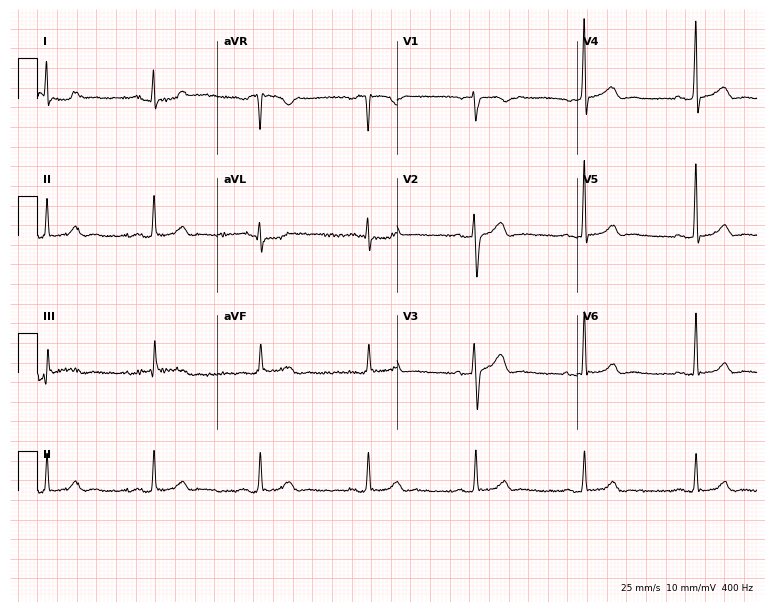
12-lead ECG from a 39-year-old man (7.3-second recording at 400 Hz). Recorded interpretation: within normal limits.